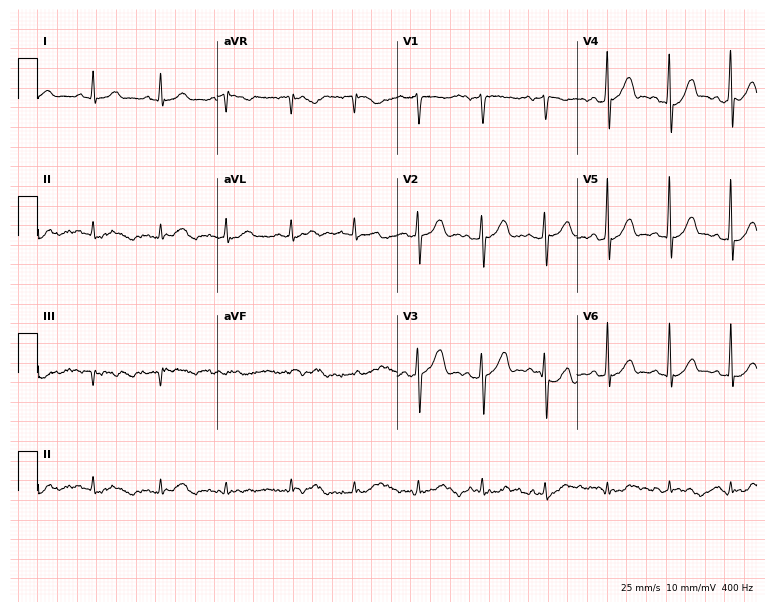
Electrocardiogram (7.3-second recording at 400 Hz), a 56-year-old man. Of the six screened findings (first-degree AV block, right bundle branch block (RBBB), left bundle branch block (LBBB), sinus bradycardia, atrial fibrillation (AF), sinus tachycardia), none is recorded.